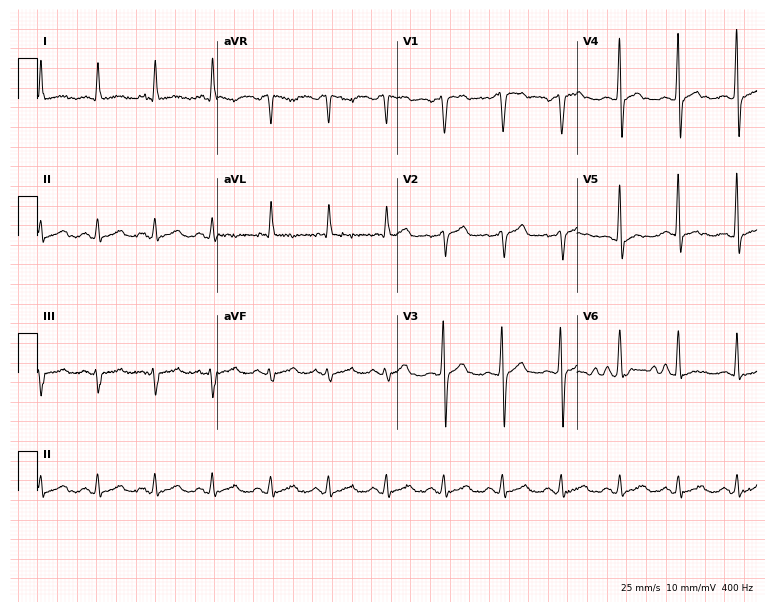
12-lead ECG from a man, 50 years old. No first-degree AV block, right bundle branch block, left bundle branch block, sinus bradycardia, atrial fibrillation or sinus tachycardia recorded for this tracing. Only these six findings were labelled.